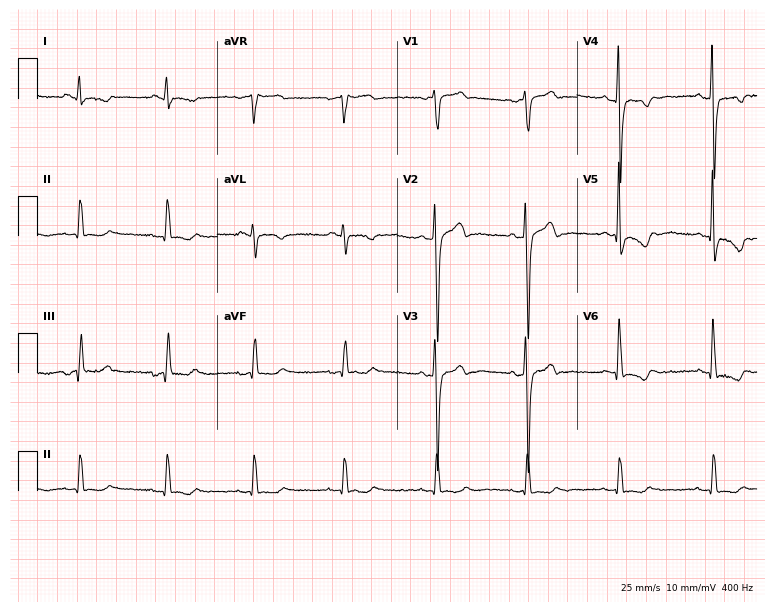
Resting 12-lead electrocardiogram (7.3-second recording at 400 Hz). Patient: a 52-year-old male. None of these six findings is recorded: first-degree AV block, right bundle branch block, left bundle branch block, sinus bradycardia, atrial fibrillation, sinus tachycardia.